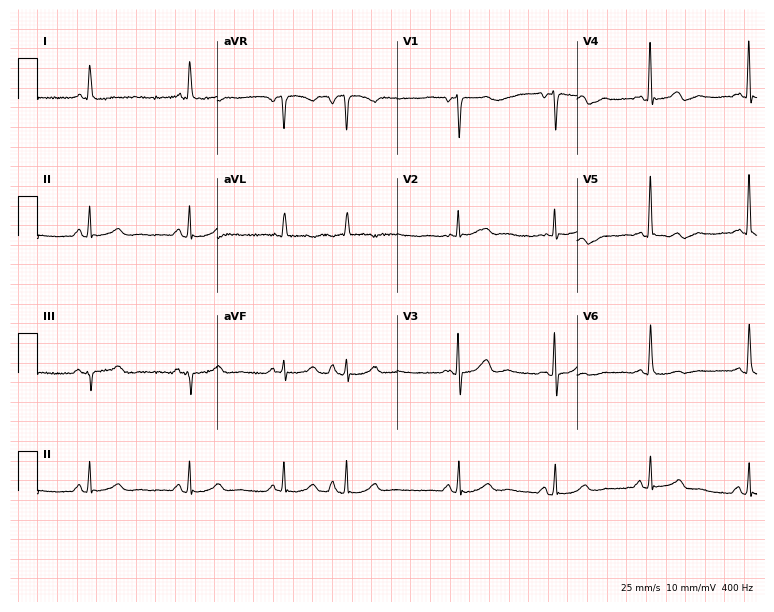
Electrocardiogram, a 66-year-old man. Of the six screened findings (first-degree AV block, right bundle branch block, left bundle branch block, sinus bradycardia, atrial fibrillation, sinus tachycardia), none is recorded.